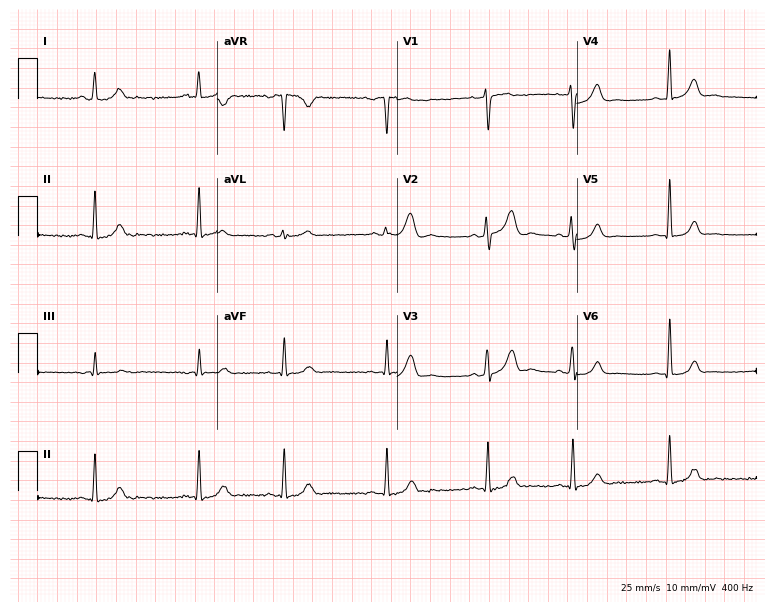
Standard 12-lead ECG recorded from a woman, 30 years old. None of these six findings is recorded: first-degree AV block, right bundle branch block (RBBB), left bundle branch block (LBBB), sinus bradycardia, atrial fibrillation (AF), sinus tachycardia.